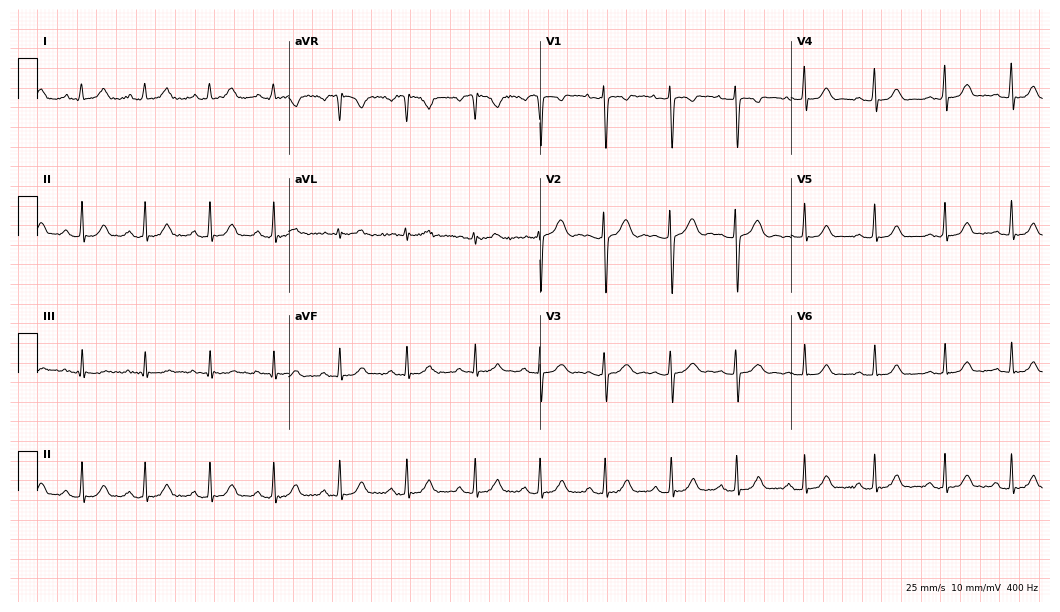
12-lead ECG (10.2-second recording at 400 Hz) from a woman, 22 years old. Labelled as a normal ECG.